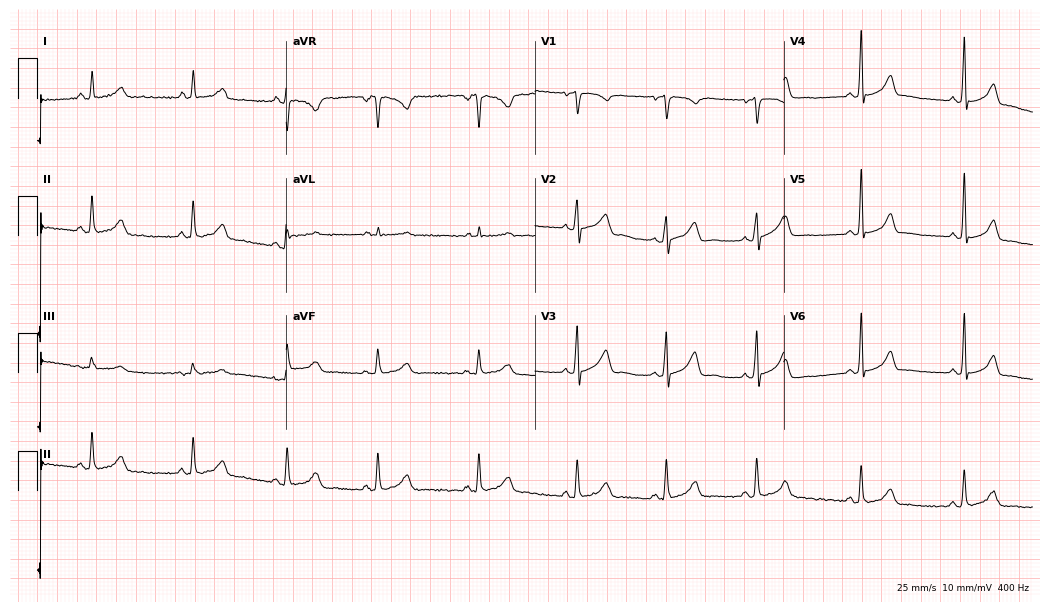
12-lead ECG (10.1-second recording at 400 Hz) from a 37-year-old female. Labelled as a normal ECG.